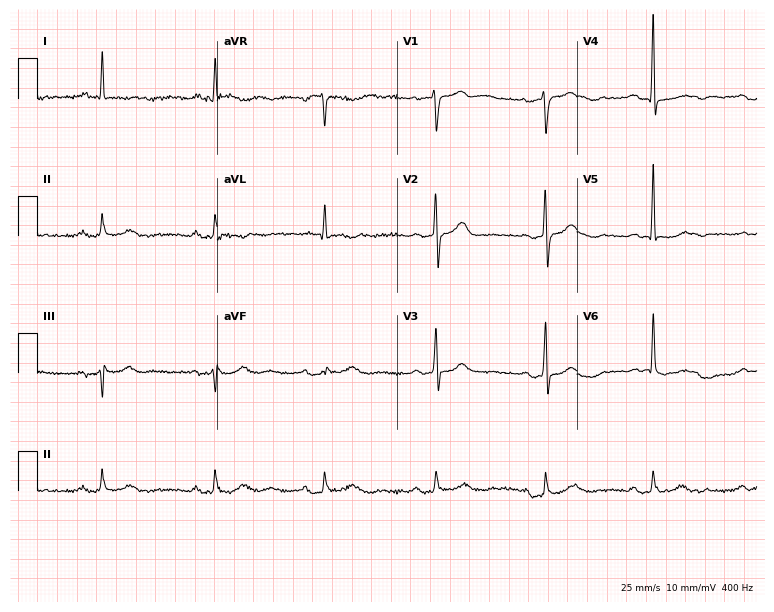
12-lead ECG (7.3-second recording at 400 Hz) from a 67-year-old man. Screened for six findings — first-degree AV block, right bundle branch block, left bundle branch block, sinus bradycardia, atrial fibrillation, sinus tachycardia — none is recorded. Only these six findings were labelled.